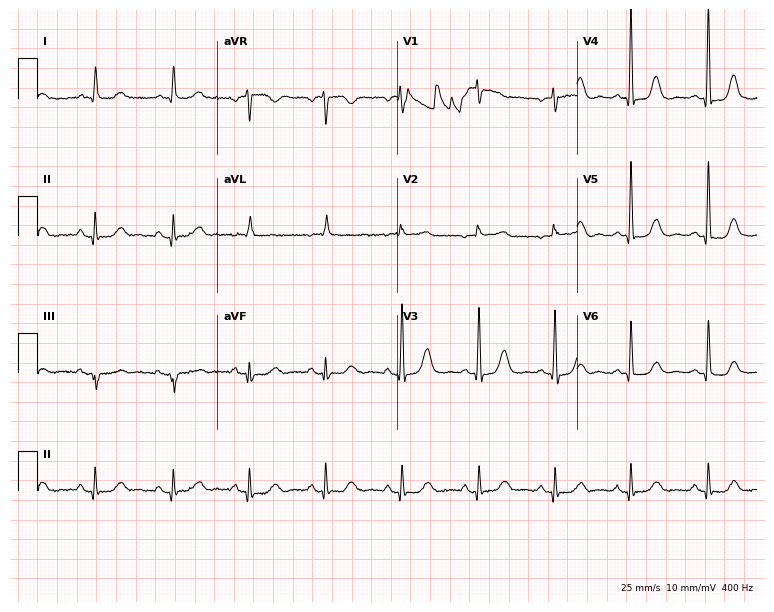
ECG — a 73-year-old female patient. Labelled as a normal ECG.